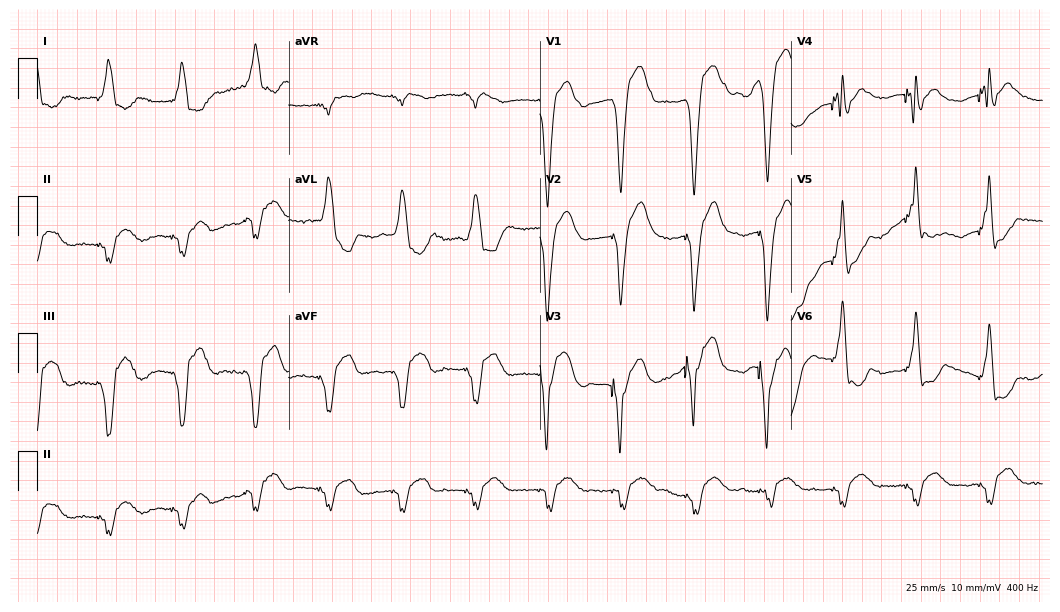
12-lead ECG from a male patient, 83 years old. Screened for six findings — first-degree AV block, right bundle branch block, left bundle branch block, sinus bradycardia, atrial fibrillation, sinus tachycardia — none is recorded. Only these six findings were labelled.